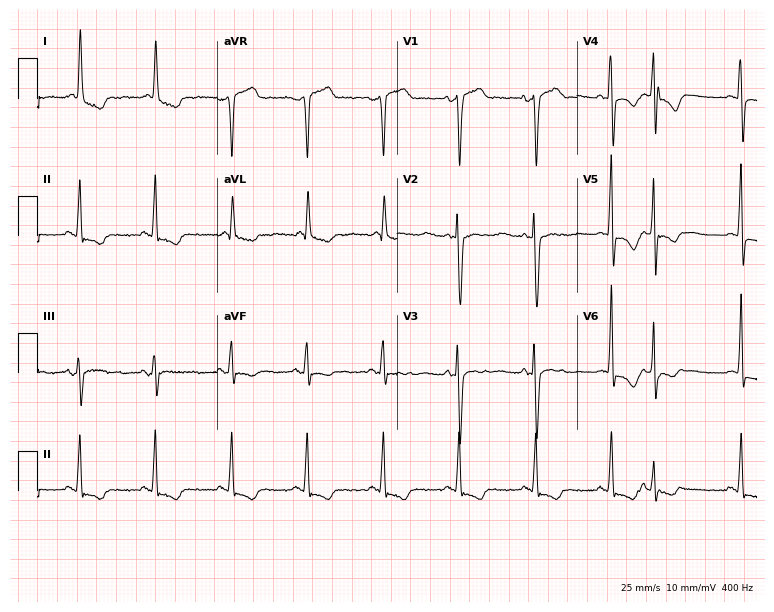
Standard 12-lead ECG recorded from a woman, 52 years old. None of these six findings is recorded: first-degree AV block, right bundle branch block (RBBB), left bundle branch block (LBBB), sinus bradycardia, atrial fibrillation (AF), sinus tachycardia.